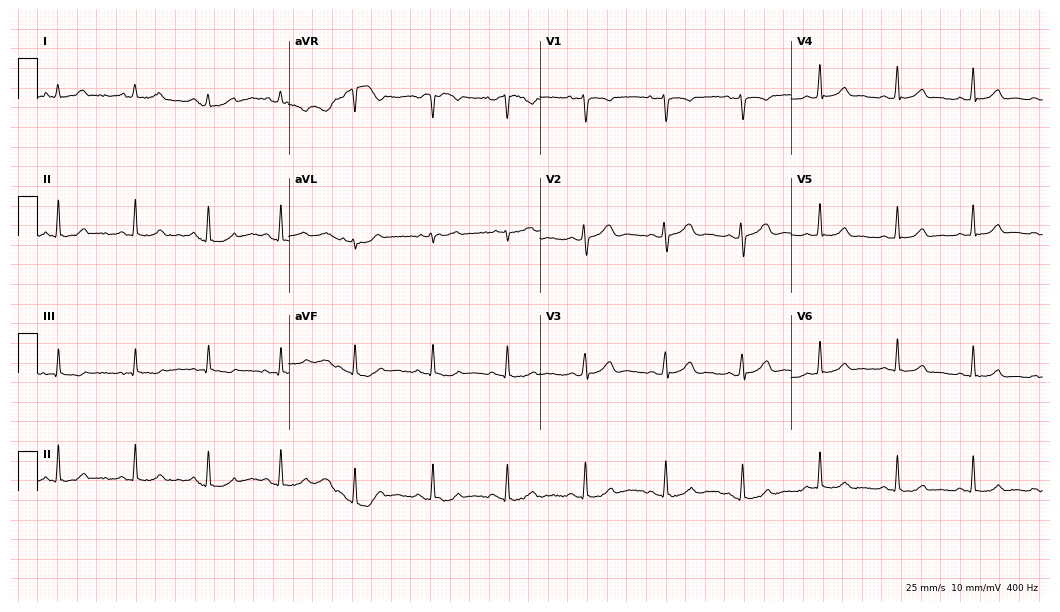
12-lead ECG (10.2-second recording at 400 Hz) from a female patient, 27 years old. Labelled as a normal ECG.